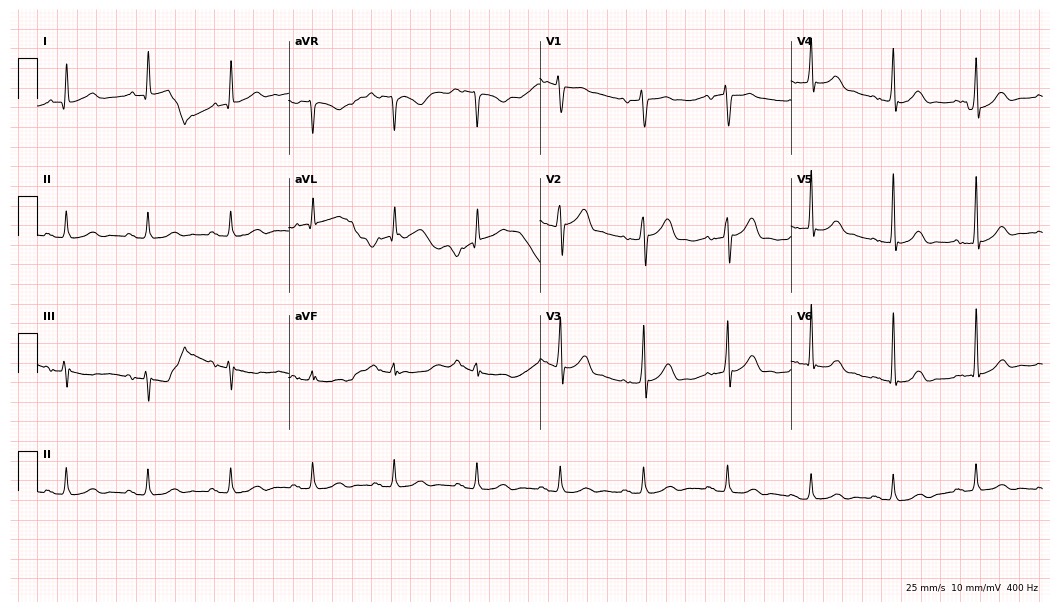
12-lead ECG from a 57-year-old male (10.2-second recording at 400 Hz). No first-degree AV block, right bundle branch block (RBBB), left bundle branch block (LBBB), sinus bradycardia, atrial fibrillation (AF) or sinus tachycardia recorded for this tracing. Findings outside these six are not listed.